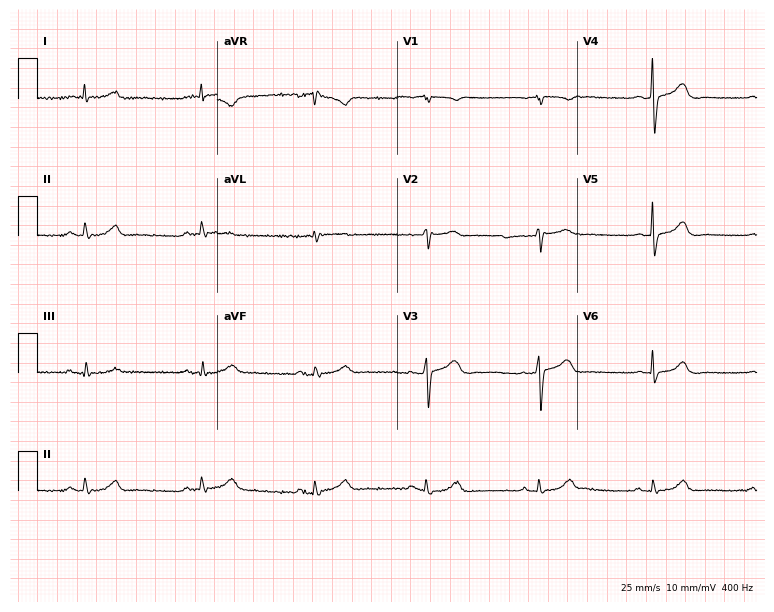
ECG — a man, 73 years old. Labelled as a normal ECG.